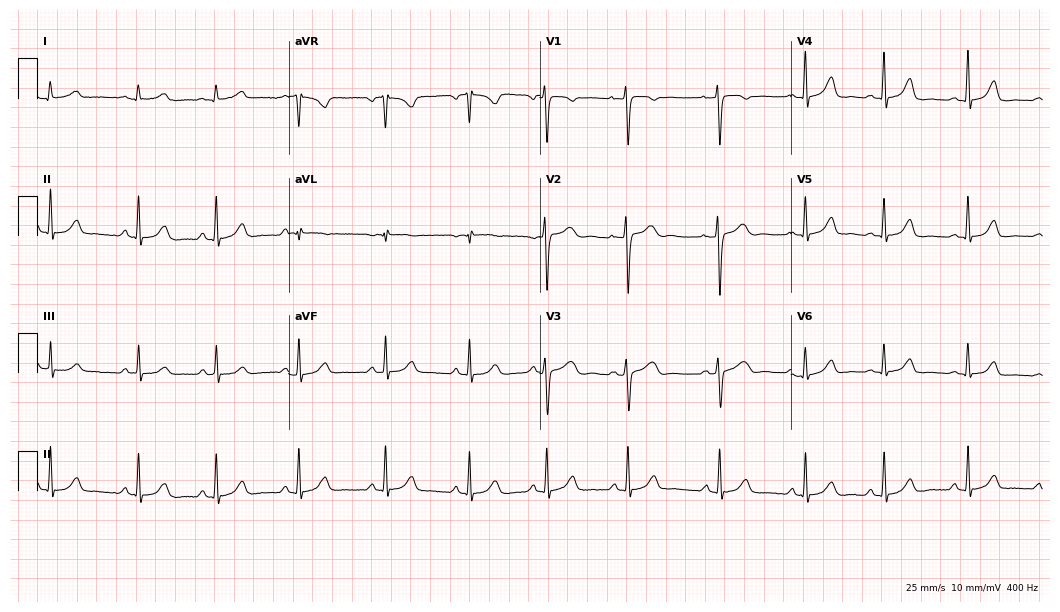
ECG — a 26-year-old female. Labelled as a normal ECG.